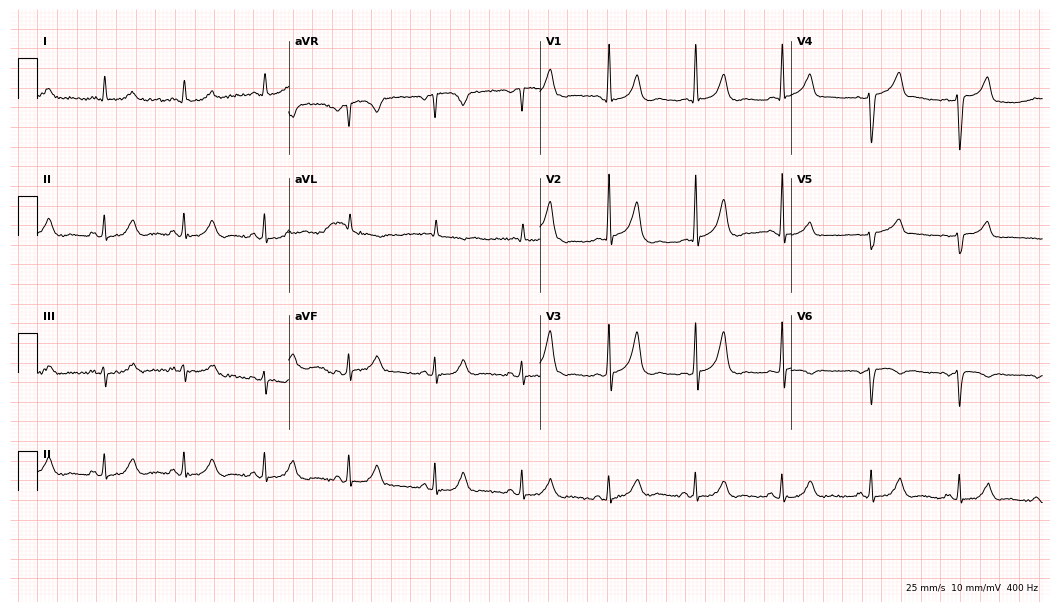
Resting 12-lead electrocardiogram (10.2-second recording at 400 Hz). Patient: a woman, 36 years old. None of these six findings is recorded: first-degree AV block, right bundle branch block, left bundle branch block, sinus bradycardia, atrial fibrillation, sinus tachycardia. Findings outside these six are not listed.